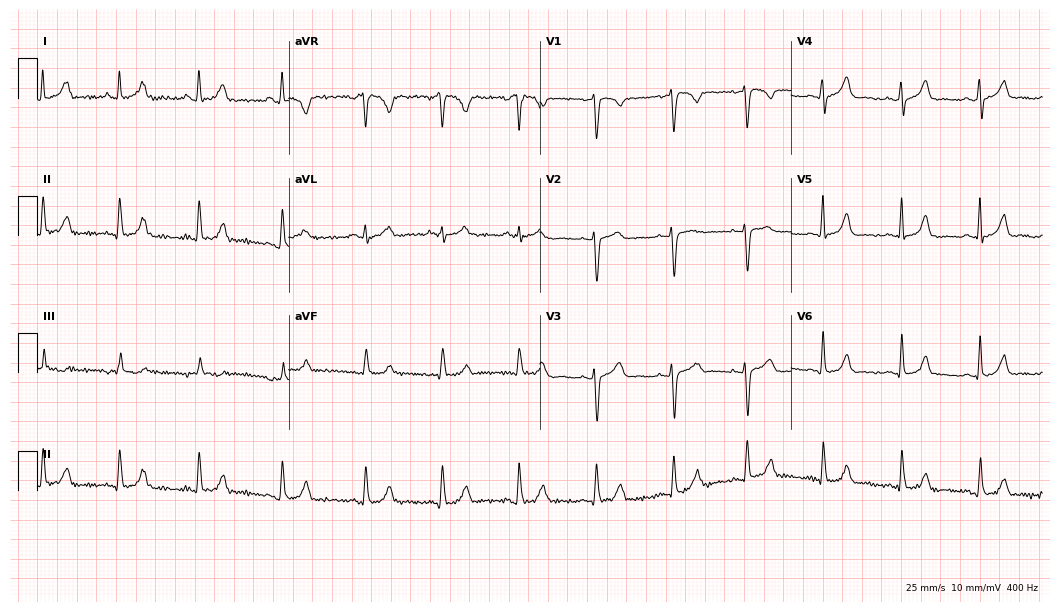
Resting 12-lead electrocardiogram. Patient: a 39-year-old female. Read as a normal ECG.